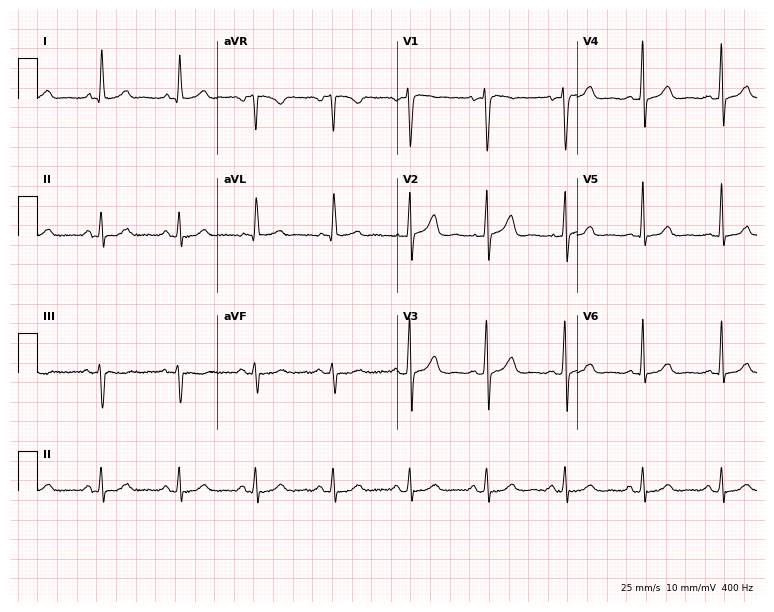
12-lead ECG from a 48-year-old woman. Labelled as a normal ECG.